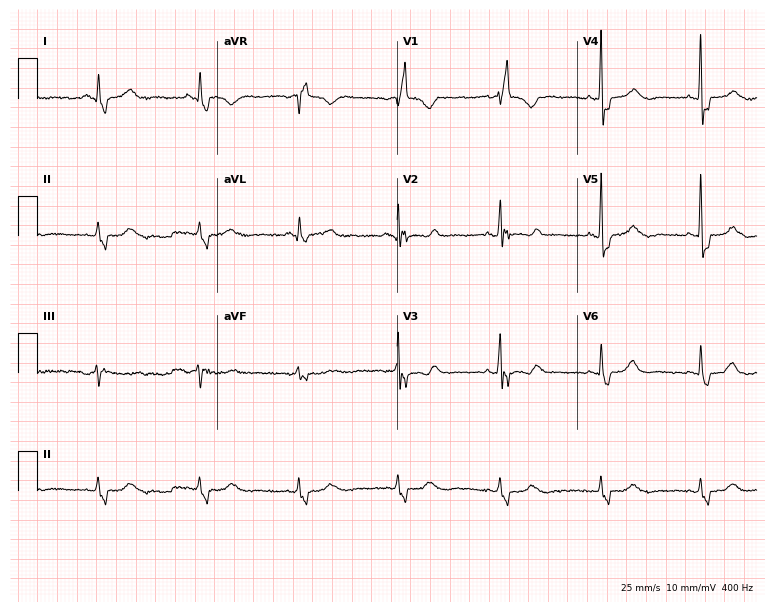
Standard 12-lead ECG recorded from a female patient, 60 years old. The tracing shows right bundle branch block.